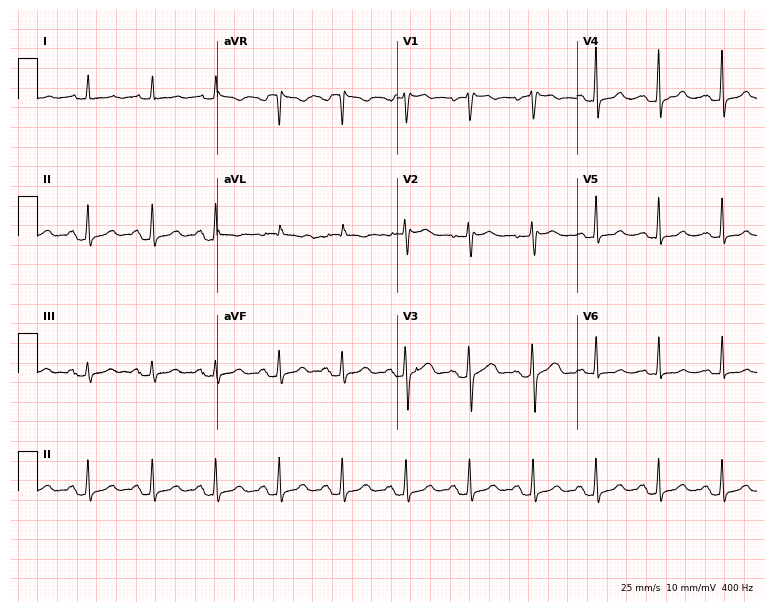
12-lead ECG (7.3-second recording at 400 Hz) from a 56-year-old female. Labelled as a normal ECG.